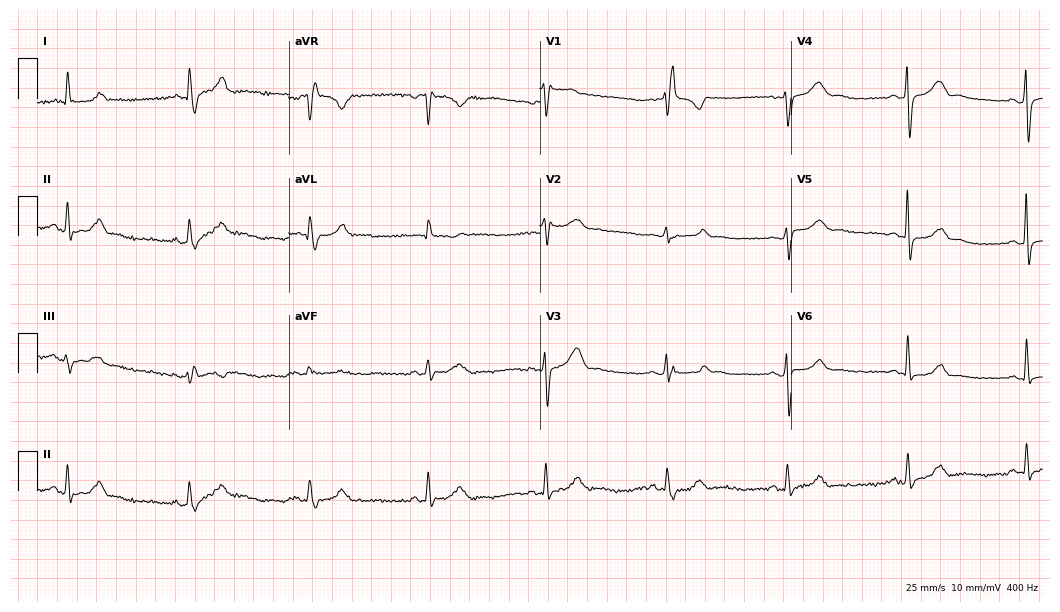
ECG — a 60-year-old woman. Findings include sinus bradycardia (a sinus rate of 50 beats per minute or less).